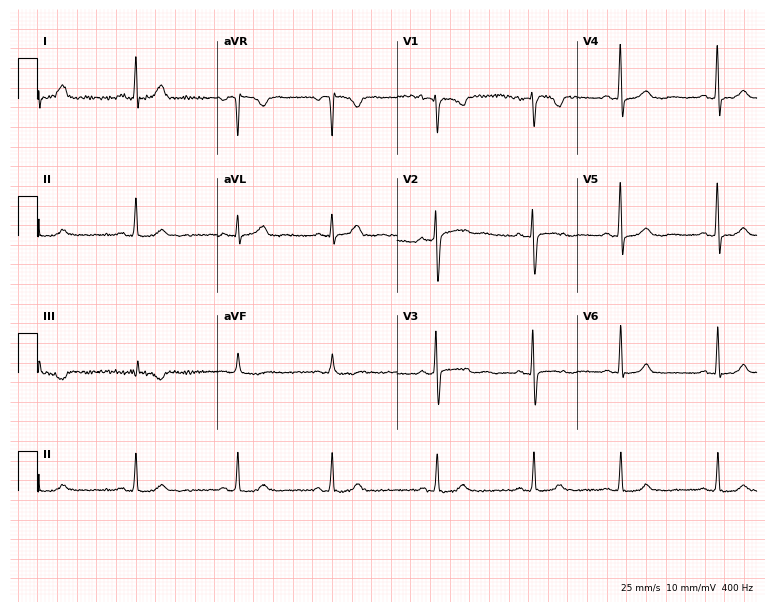
Electrocardiogram (7.3-second recording at 400 Hz), a 33-year-old woman. Overall reading on record: normal ECG.